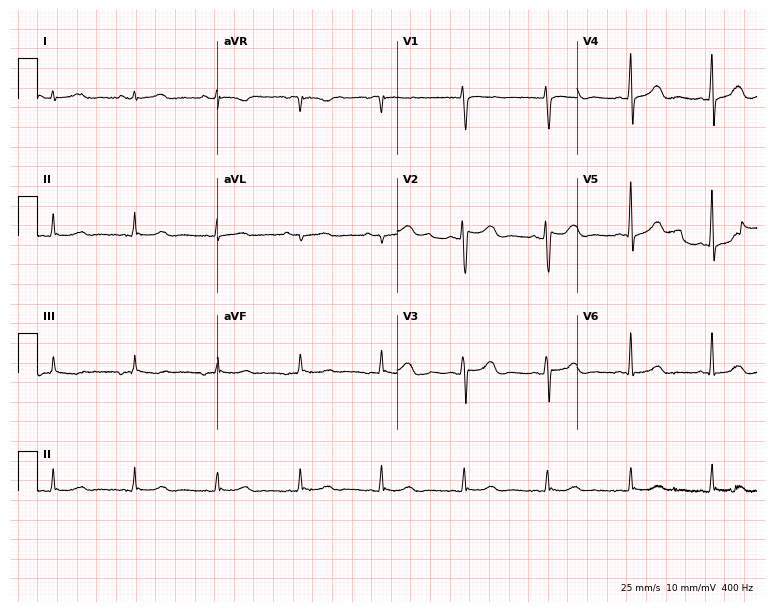
Electrocardiogram, a 54-year-old woman. Of the six screened findings (first-degree AV block, right bundle branch block, left bundle branch block, sinus bradycardia, atrial fibrillation, sinus tachycardia), none is recorded. Only these six findings were labelled.